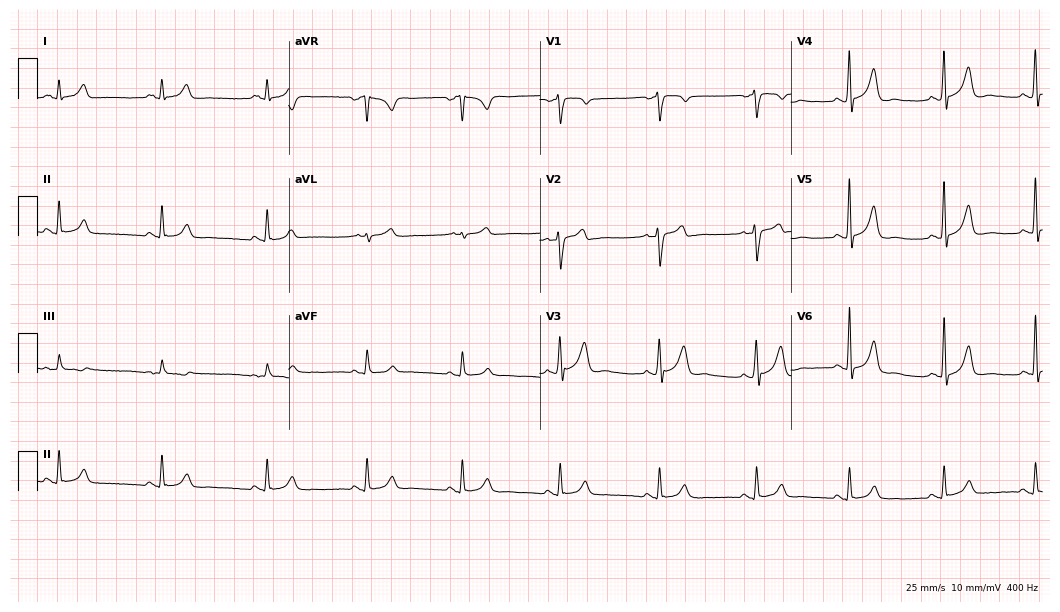
Resting 12-lead electrocardiogram (10.2-second recording at 400 Hz). Patient: a man, 51 years old. Read as a normal ECG.